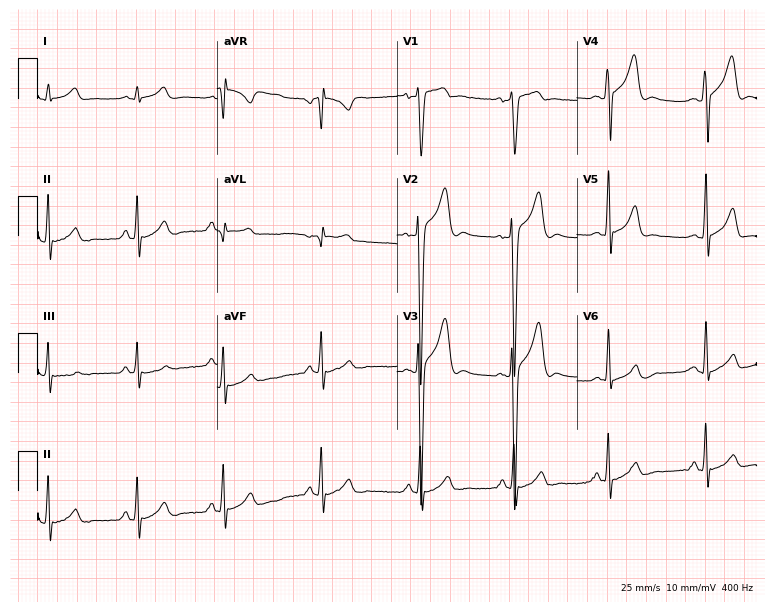
12-lead ECG from a male patient, 25 years old. Screened for six findings — first-degree AV block, right bundle branch block, left bundle branch block, sinus bradycardia, atrial fibrillation, sinus tachycardia — none is recorded. Only these six findings were labelled.